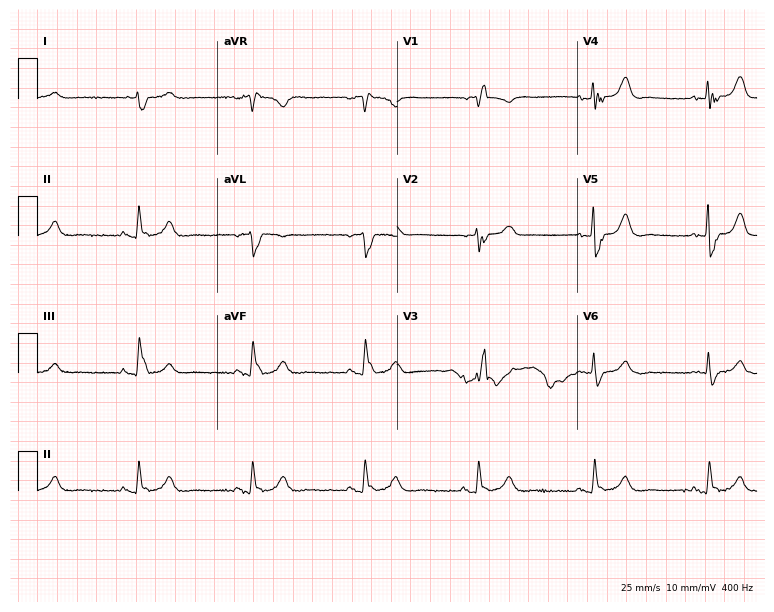
Standard 12-lead ECG recorded from a man, 79 years old (7.3-second recording at 400 Hz). The tracing shows right bundle branch block.